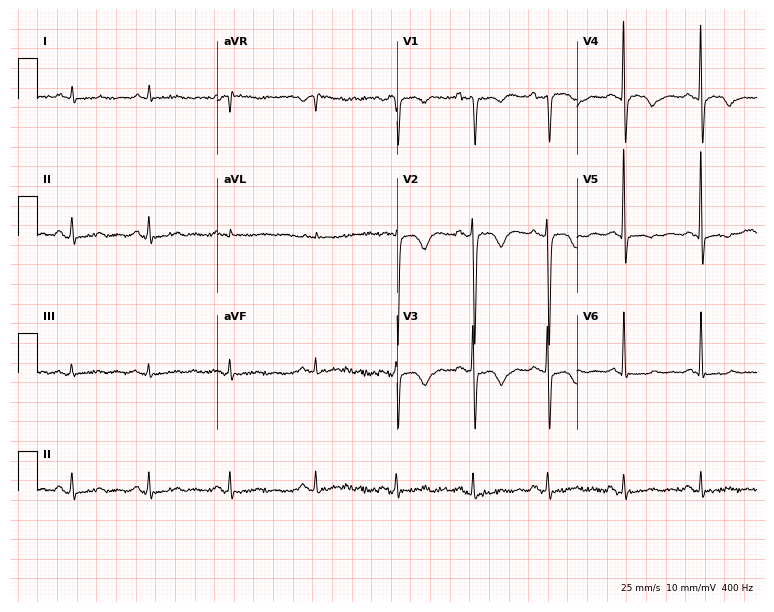
Electrocardiogram (7.3-second recording at 400 Hz), a female patient, 80 years old. Of the six screened findings (first-degree AV block, right bundle branch block, left bundle branch block, sinus bradycardia, atrial fibrillation, sinus tachycardia), none is recorded.